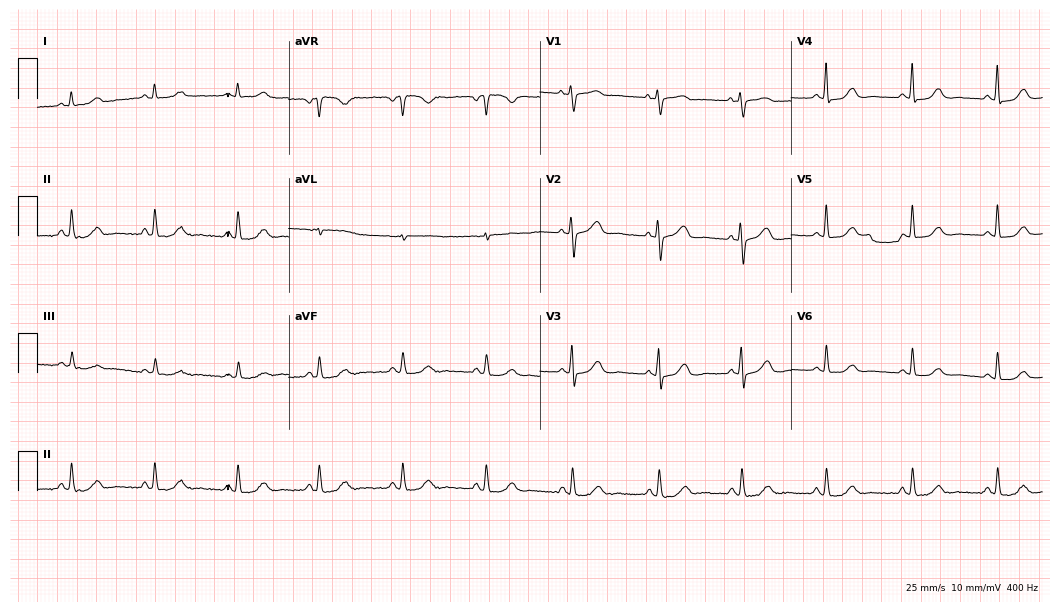
Standard 12-lead ECG recorded from a 76-year-old woman (10.2-second recording at 400 Hz). None of these six findings is recorded: first-degree AV block, right bundle branch block, left bundle branch block, sinus bradycardia, atrial fibrillation, sinus tachycardia. Only these six findings were labelled.